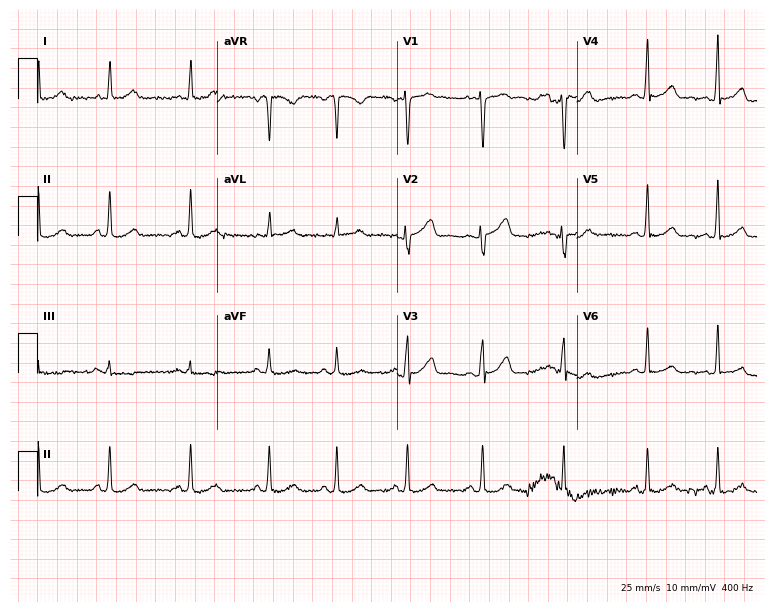
Standard 12-lead ECG recorded from a 33-year-old female. Read as a normal ECG.